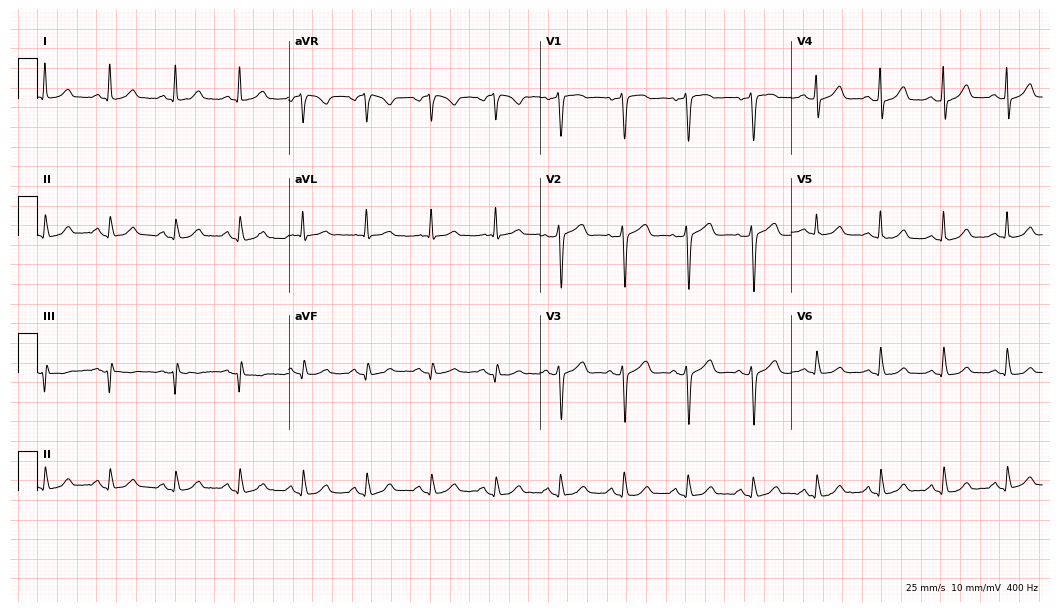
12-lead ECG from a female, 68 years old. Screened for six findings — first-degree AV block, right bundle branch block, left bundle branch block, sinus bradycardia, atrial fibrillation, sinus tachycardia — none is recorded.